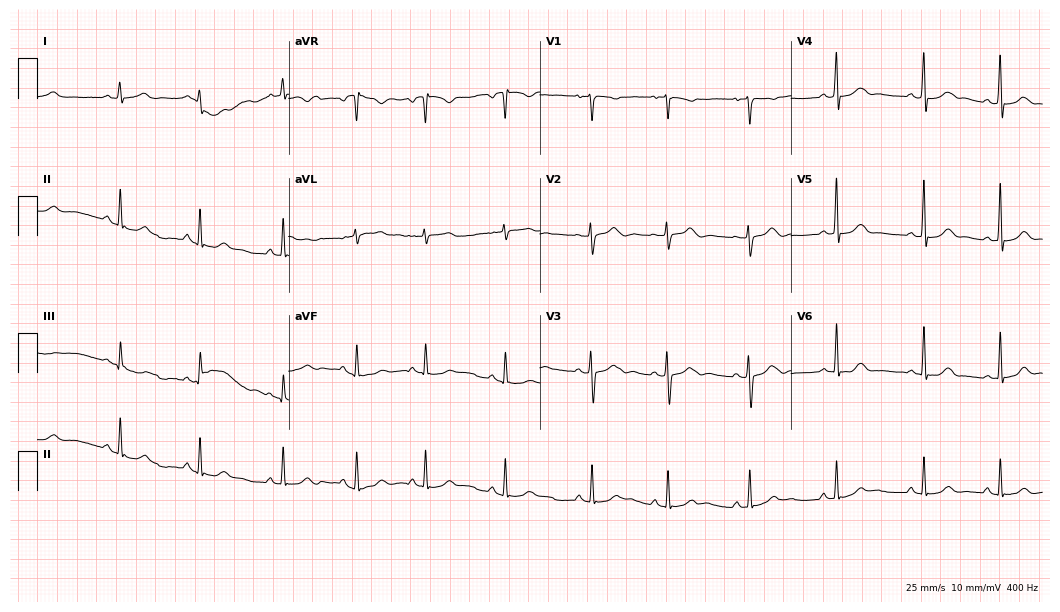
Standard 12-lead ECG recorded from a woman, 24 years old. None of these six findings is recorded: first-degree AV block, right bundle branch block, left bundle branch block, sinus bradycardia, atrial fibrillation, sinus tachycardia.